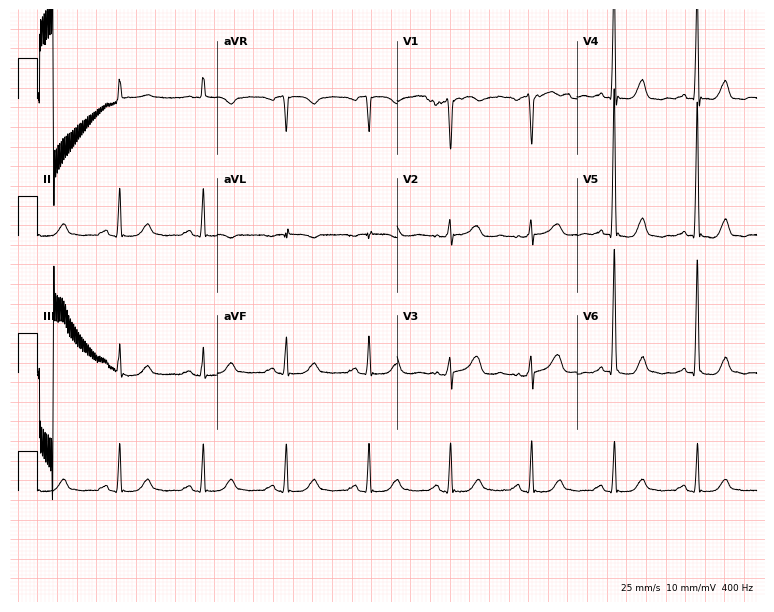
Resting 12-lead electrocardiogram (7.3-second recording at 400 Hz). Patient: a 67-year-old female. None of these six findings is recorded: first-degree AV block, right bundle branch block (RBBB), left bundle branch block (LBBB), sinus bradycardia, atrial fibrillation (AF), sinus tachycardia. Other findings, if any, are not listed.